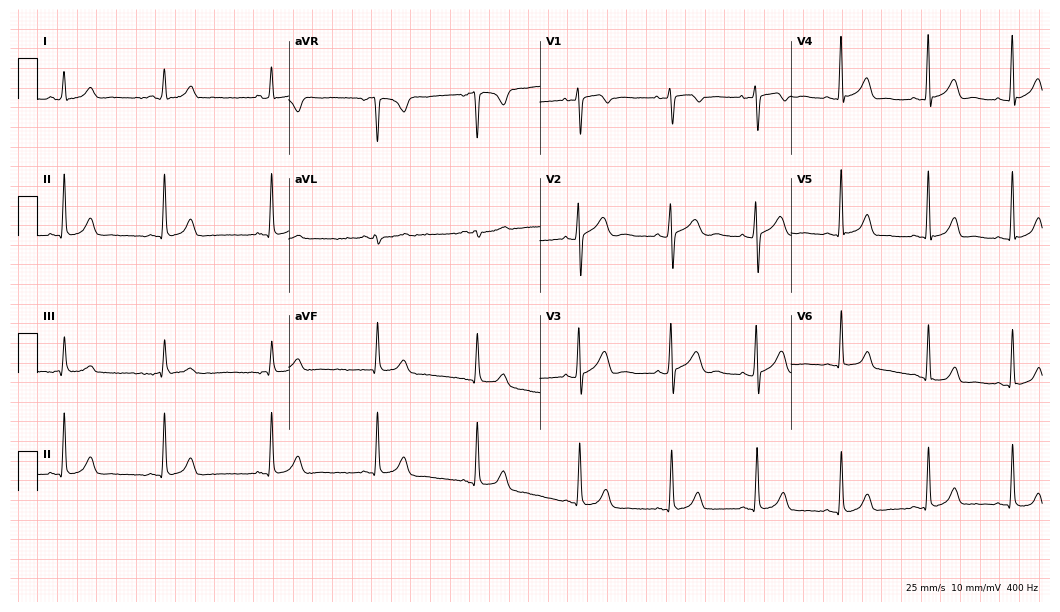
ECG — a 36-year-old woman. Labelled as a normal ECG.